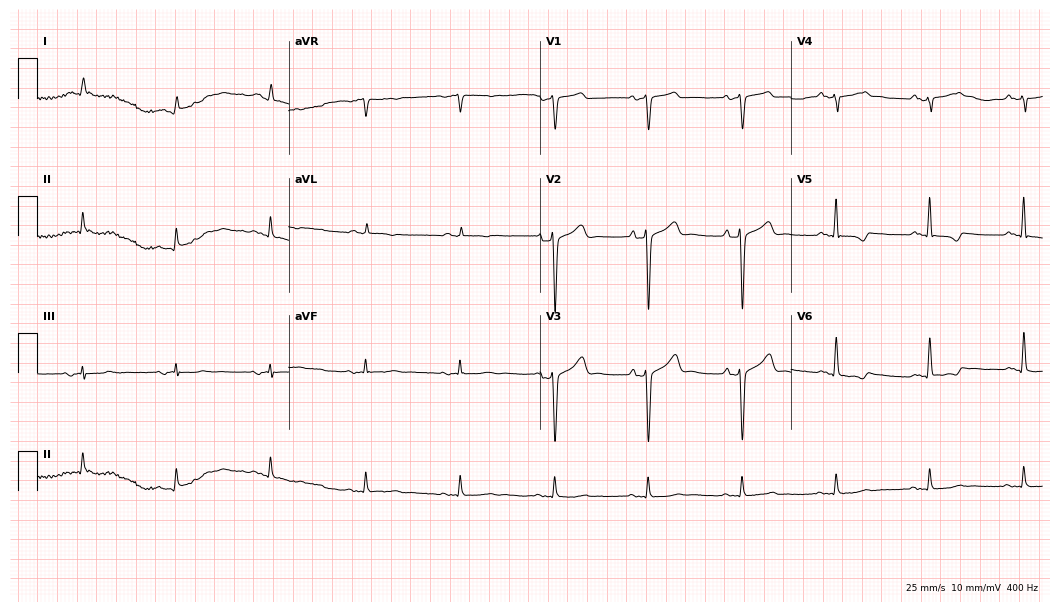
Standard 12-lead ECG recorded from a male patient, 85 years old (10.2-second recording at 400 Hz). None of these six findings is recorded: first-degree AV block, right bundle branch block, left bundle branch block, sinus bradycardia, atrial fibrillation, sinus tachycardia.